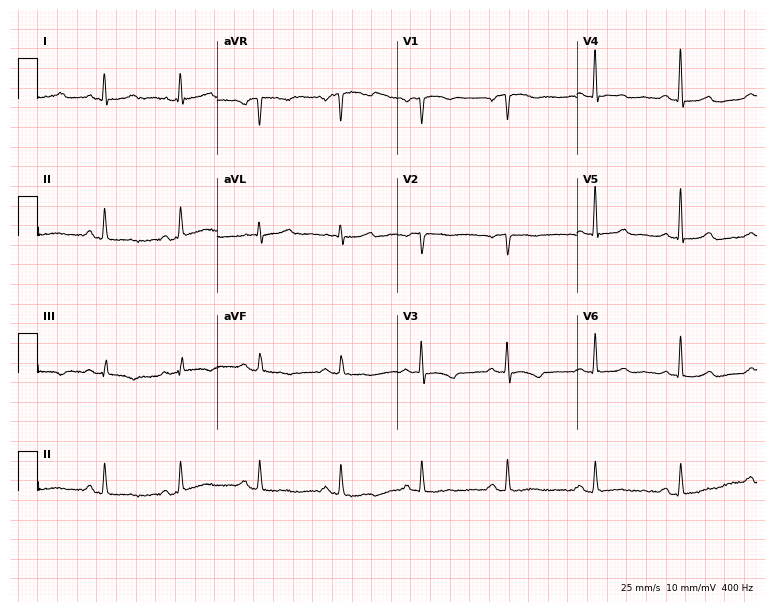
Resting 12-lead electrocardiogram. Patient: a 52-year-old female. None of these six findings is recorded: first-degree AV block, right bundle branch block, left bundle branch block, sinus bradycardia, atrial fibrillation, sinus tachycardia. Findings outside these six are not listed.